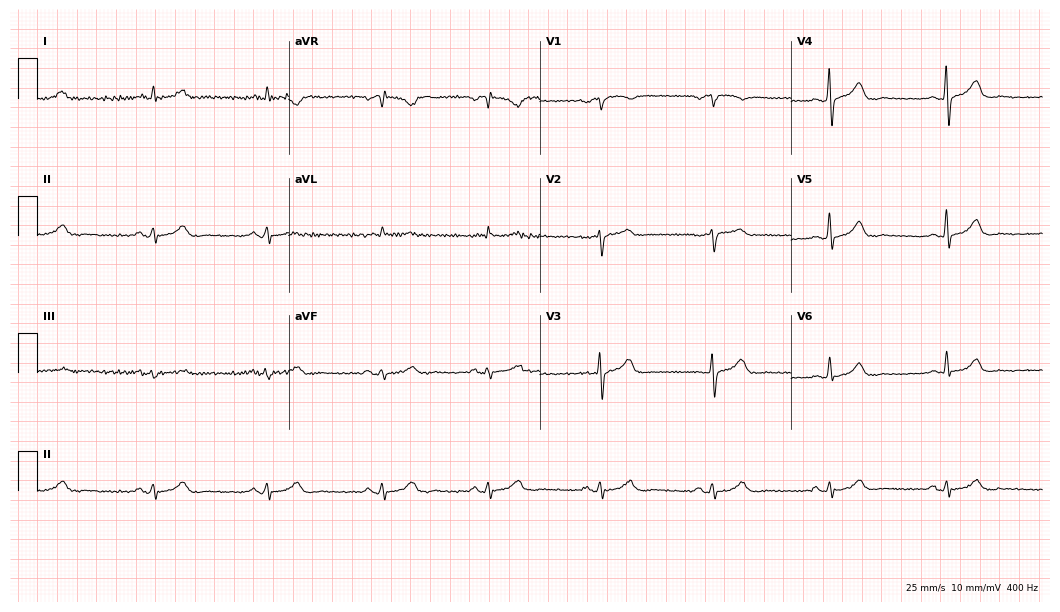
12-lead ECG from a male patient, 65 years old. Recorded interpretation: within normal limits.